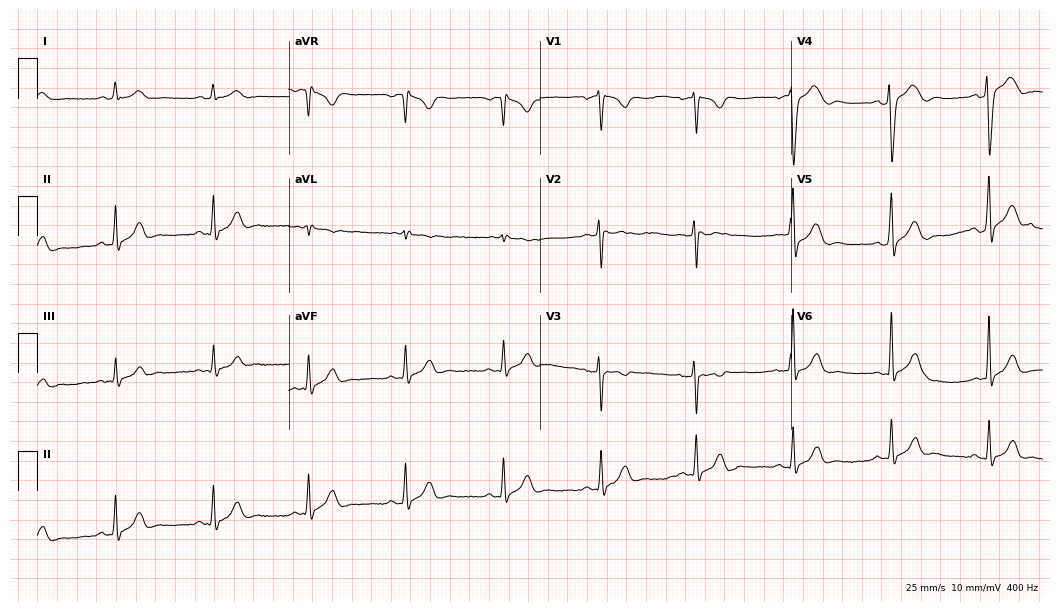
Resting 12-lead electrocardiogram. Patient: a 34-year-old male. None of these six findings is recorded: first-degree AV block, right bundle branch block, left bundle branch block, sinus bradycardia, atrial fibrillation, sinus tachycardia. Only these six findings were labelled.